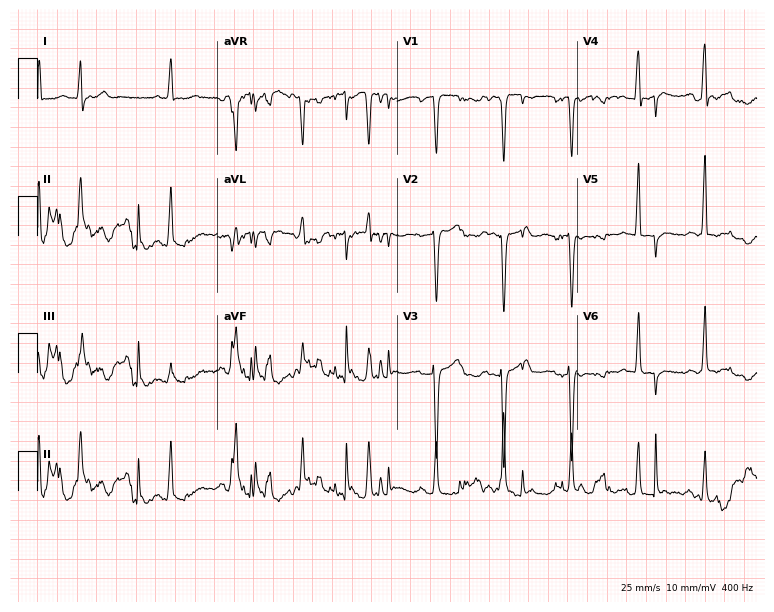
ECG — a woman, 54 years old. Screened for six findings — first-degree AV block, right bundle branch block (RBBB), left bundle branch block (LBBB), sinus bradycardia, atrial fibrillation (AF), sinus tachycardia — none is recorded. Only these six findings were labelled.